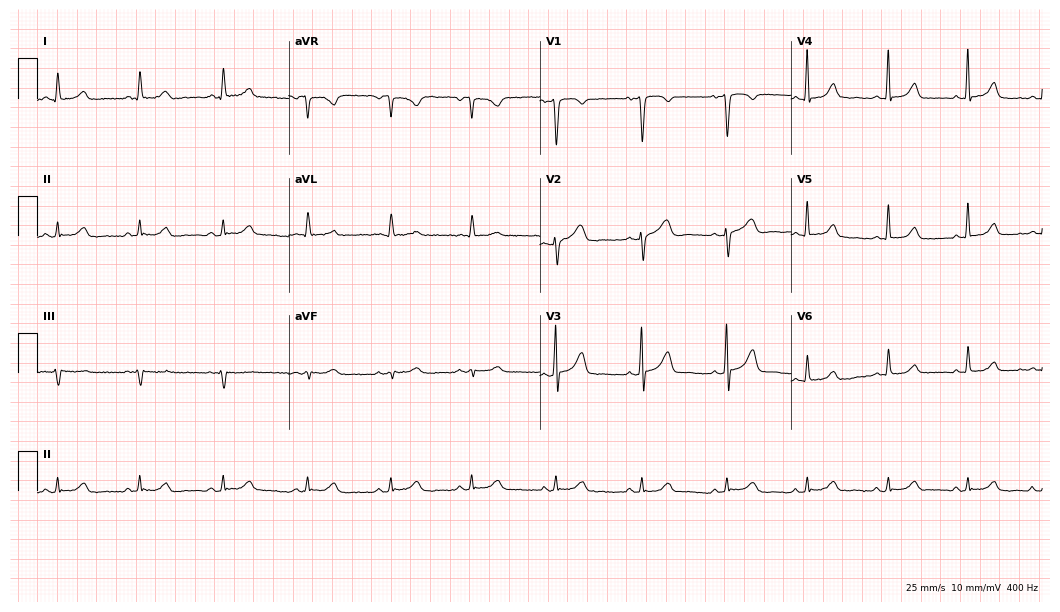
Standard 12-lead ECG recorded from a female patient, 37 years old (10.2-second recording at 400 Hz). Read as a normal ECG.